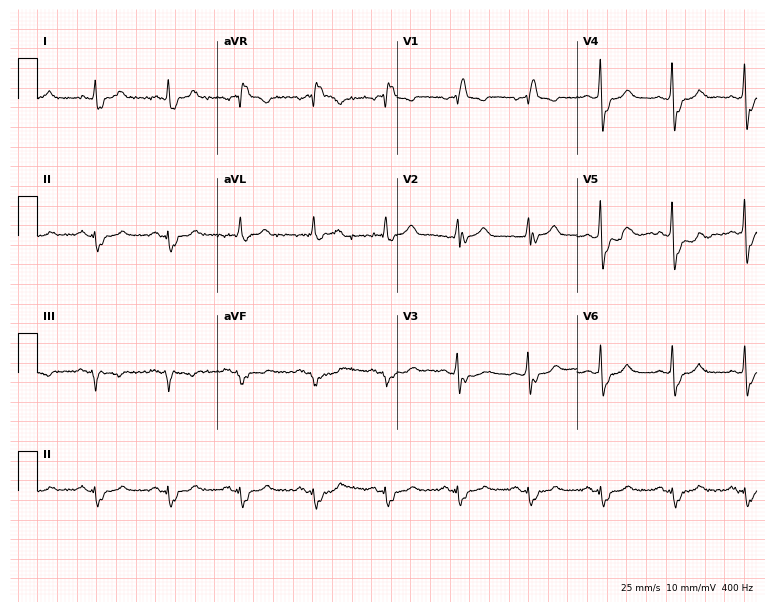
Electrocardiogram, an 80-year-old male. Interpretation includes right bundle branch block (RBBB).